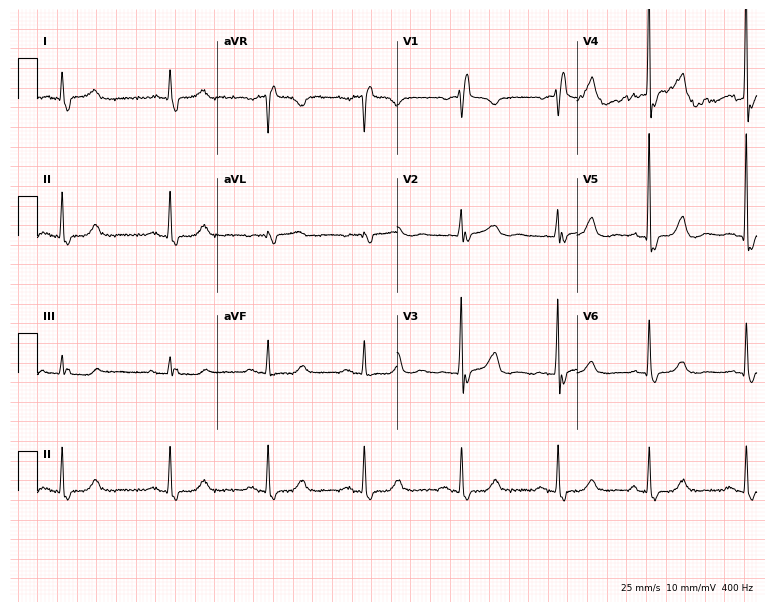
ECG (7.3-second recording at 400 Hz) — a woman, 75 years old. Findings include right bundle branch block.